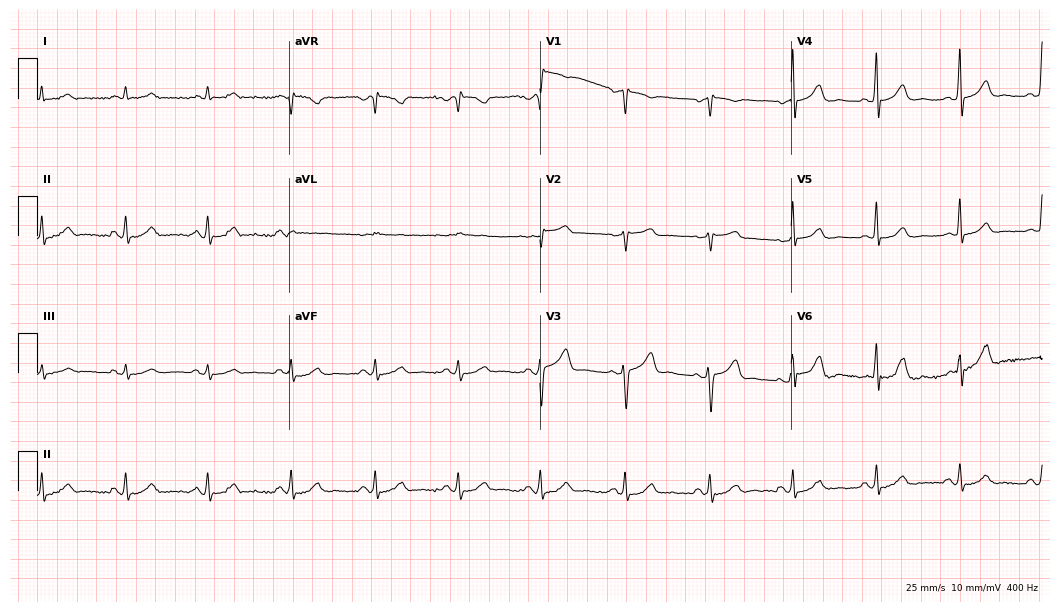
Resting 12-lead electrocardiogram (10.2-second recording at 400 Hz). Patient: a male, 53 years old. Read as a normal ECG.